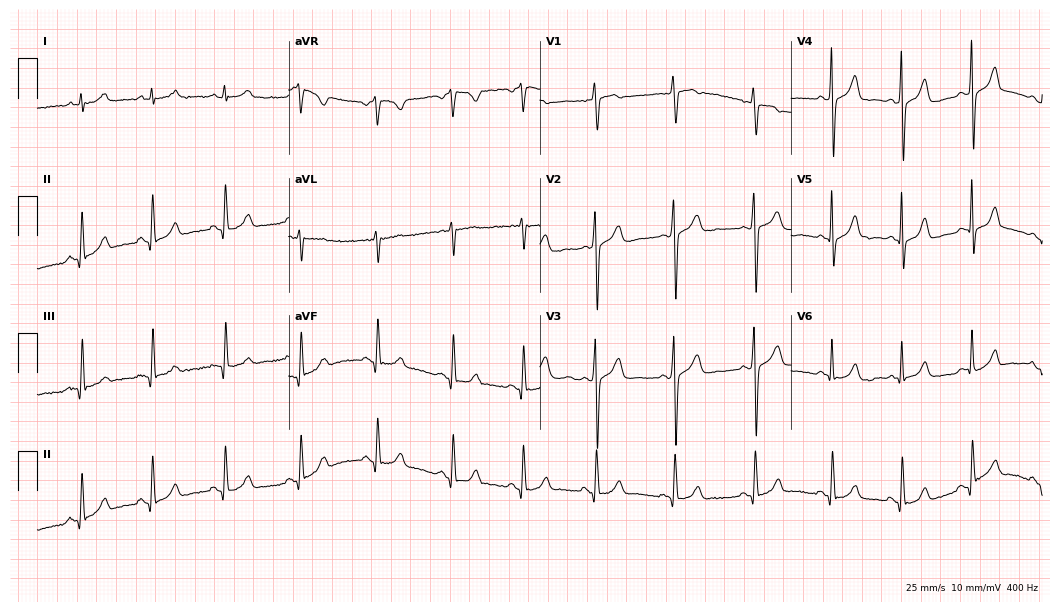
Standard 12-lead ECG recorded from a 22-year-old woman. Read as a normal ECG.